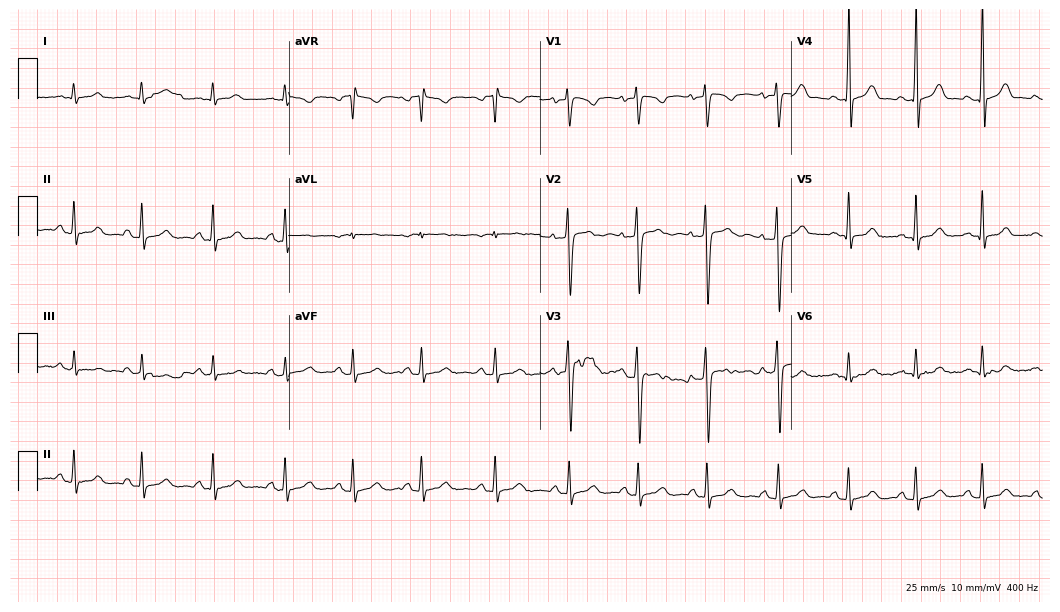
Electrocardiogram (10.2-second recording at 400 Hz), a man, 18 years old. Overall reading on record: normal ECG.